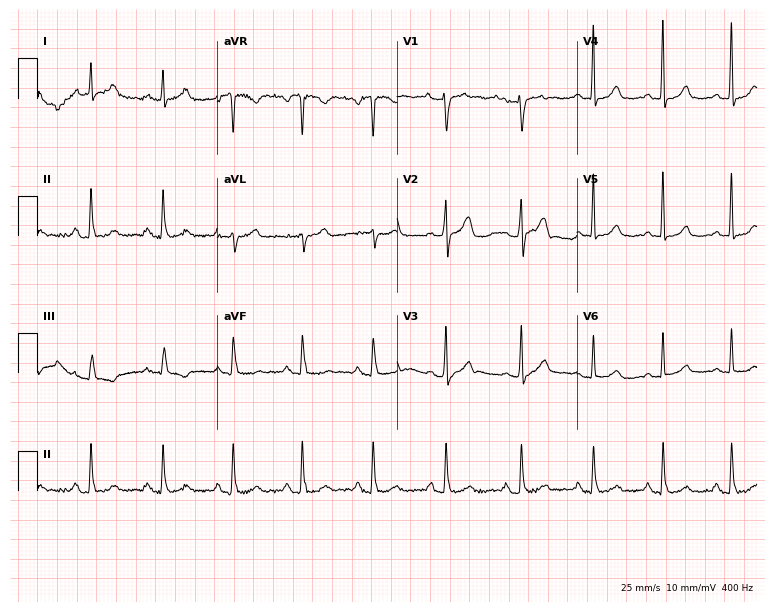
12-lead ECG from a 44-year-old female. Recorded interpretation: within normal limits.